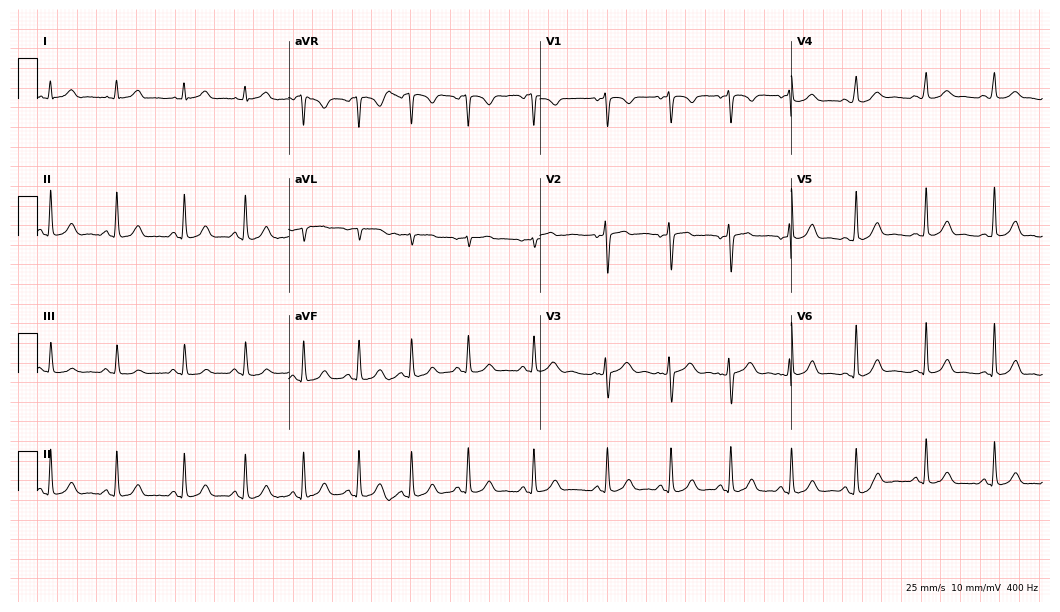
12-lead ECG from a 26-year-old female. Labelled as a normal ECG.